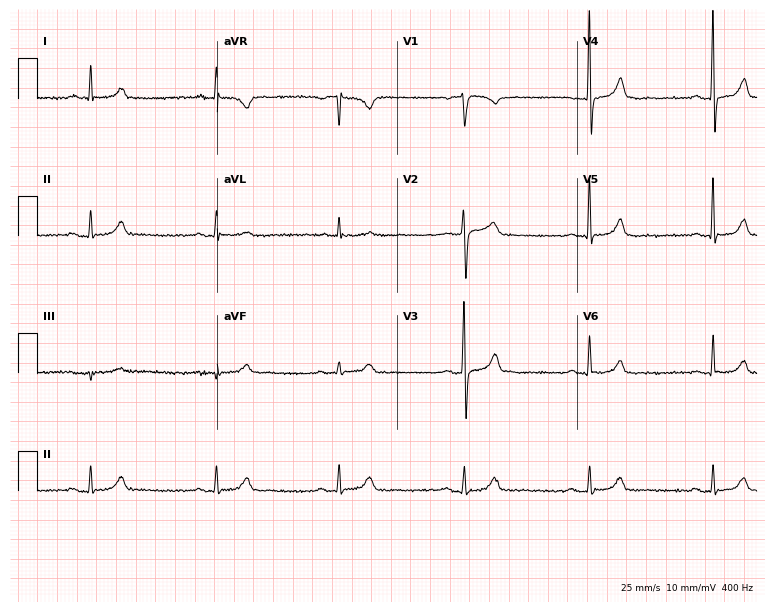
Electrocardiogram (7.3-second recording at 400 Hz), a male, 73 years old. Of the six screened findings (first-degree AV block, right bundle branch block, left bundle branch block, sinus bradycardia, atrial fibrillation, sinus tachycardia), none is recorded.